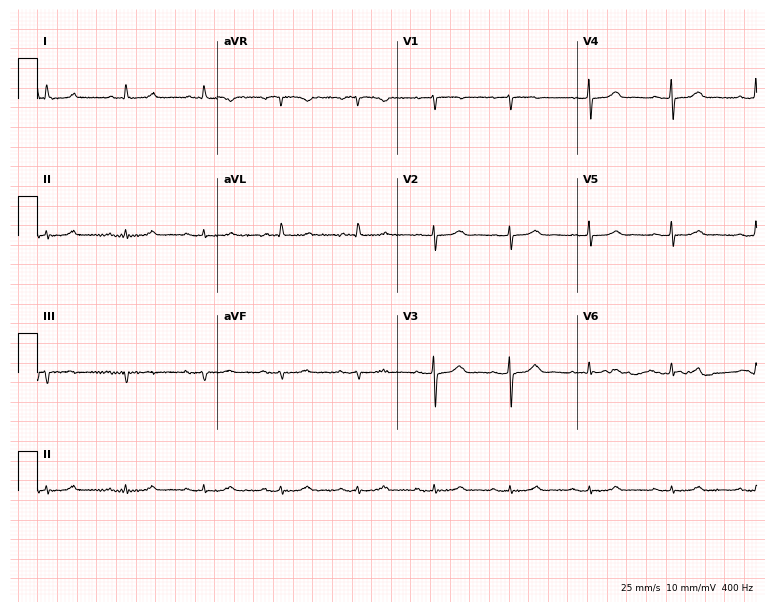
Standard 12-lead ECG recorded from an 84-year-old woman. None of these six findings is recorded: first-degree AV block, right bundle branch block, left bundle branch block, sinus bradycardia, atrial fibrillation, sinus tachycardia.